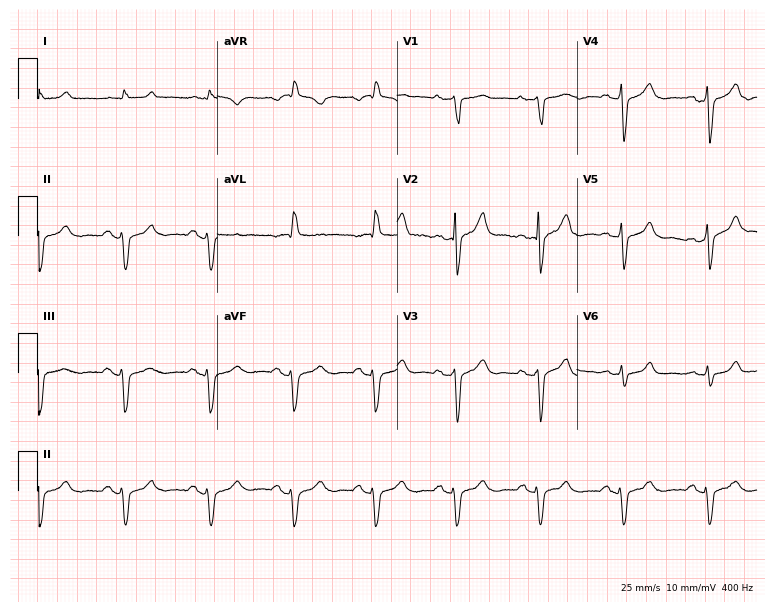
12-lead ECG from a male patient, 78 years old. Screened for six findings — first-degree AV block, right bundle branch block (RBBB), left bundle branch block (LBBB), sinus bradycardia, atrial fibrillation (AF), sinus tachycardia — none is recorded. Only these six findings were labelled.